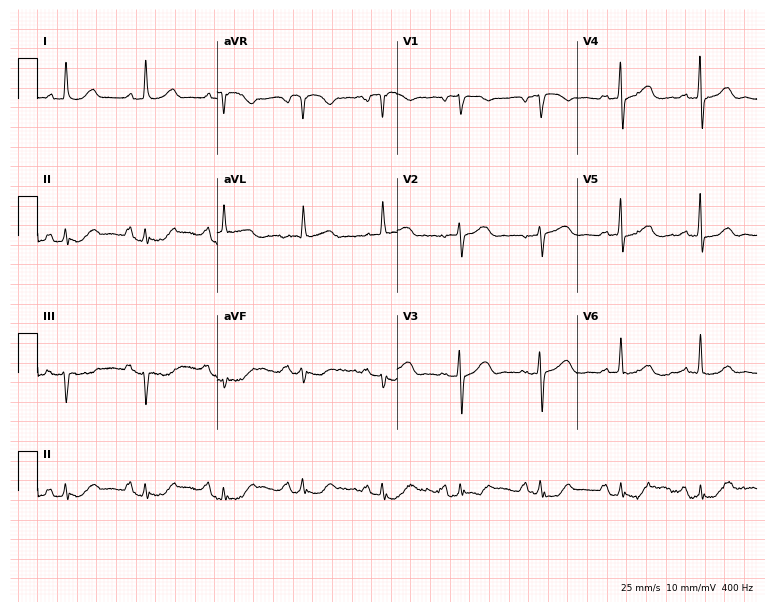
12-lead ECG from a 63-year-old male patient (7.3-second recording at 400 Hz). Recorded interpretation: within normal limits.